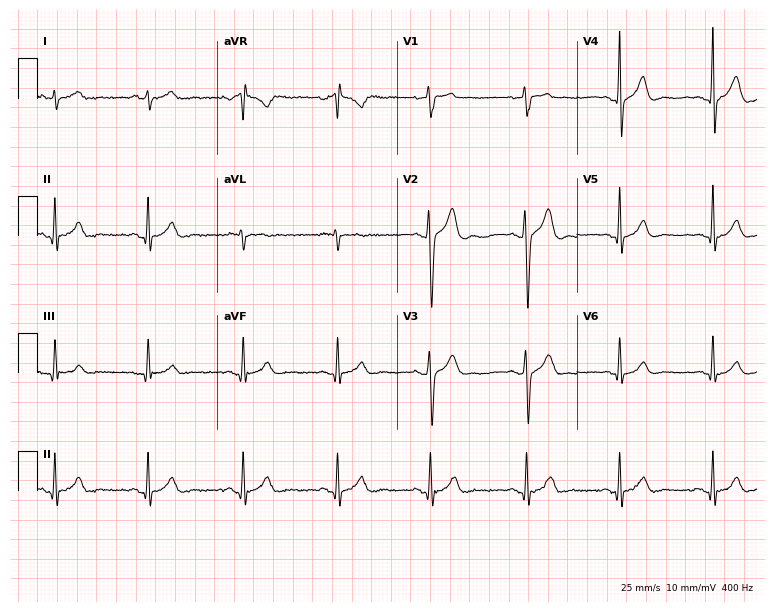
Electrocardiogram, a female patient, 19 years old. Overall reading on record: normal ECG.